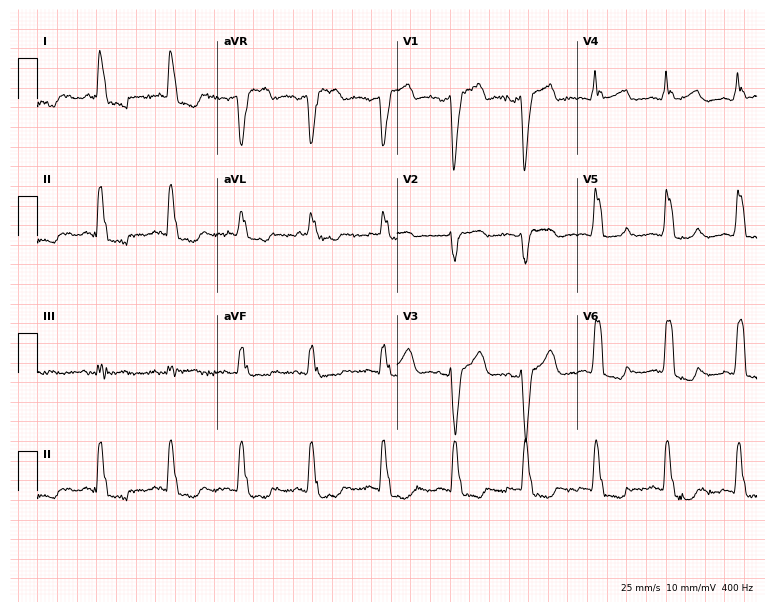
Electrocardiogram, an 84-year-old female. Interpretation includes left bundle branch block (LBBB).